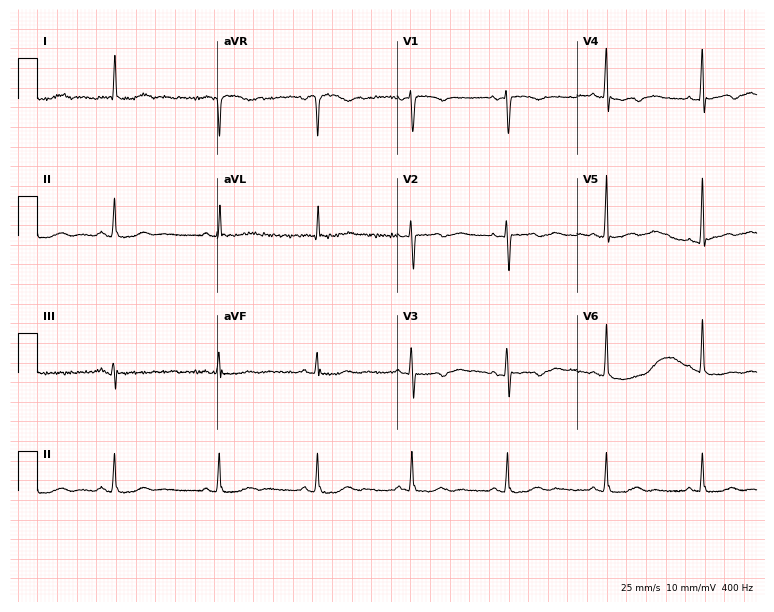
Resting 12-lead electrocardiogram. Patient: a female, 64 years old. None of these six findings is recorded: first-degree AV block, right bundle branch block, left bundle branch block, sinus bradycardia, atrial fibrillation, sinus tachycardia. Other findings, if any, are not listed.